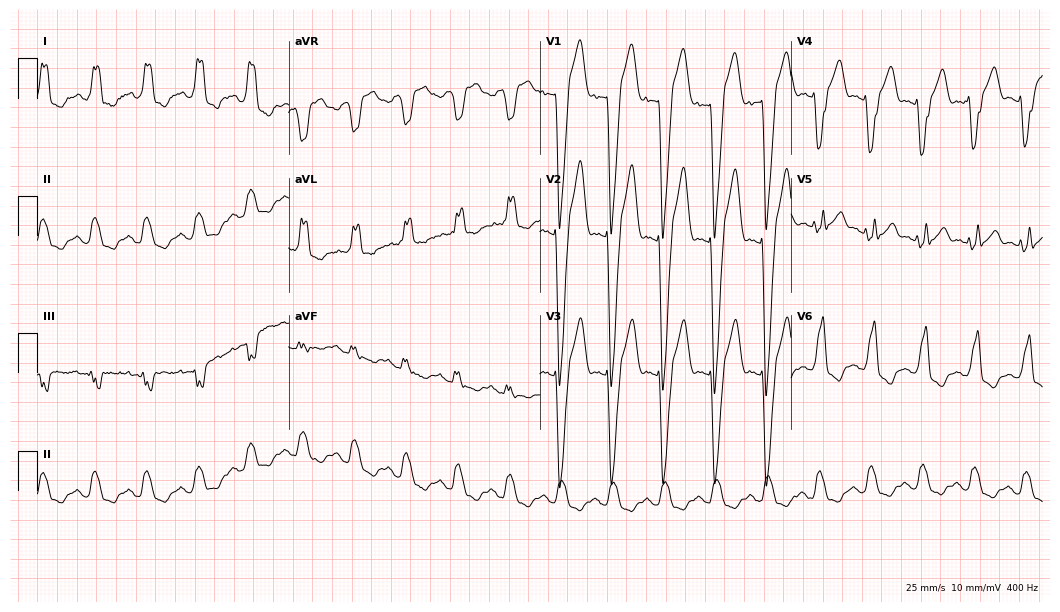
ECG (10.2-second recording at 400 Hz) — a 46-year-old male patient. Findings include left bundle branch block, sinus tachycardia (a sinus rate of 100 beats per minute or more).